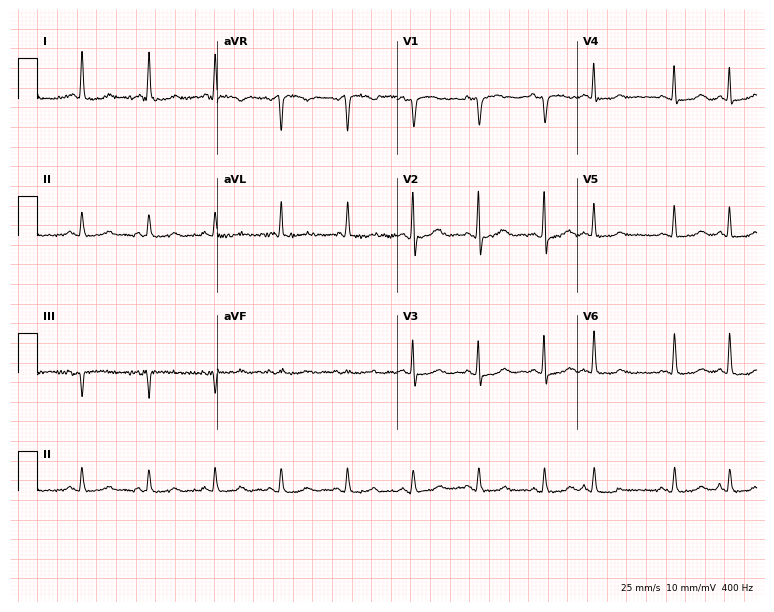
Electrocardiogram (7.3-second recording at 400 Hz), a 76-year-old female. Of the six screened findings (first-degree AV block, right bundle branch block, left bundle branch block, sinus bradycardia, atrial fibrillation, sinus tachycardia), none is recorded. Other findings, if any, are not listed.